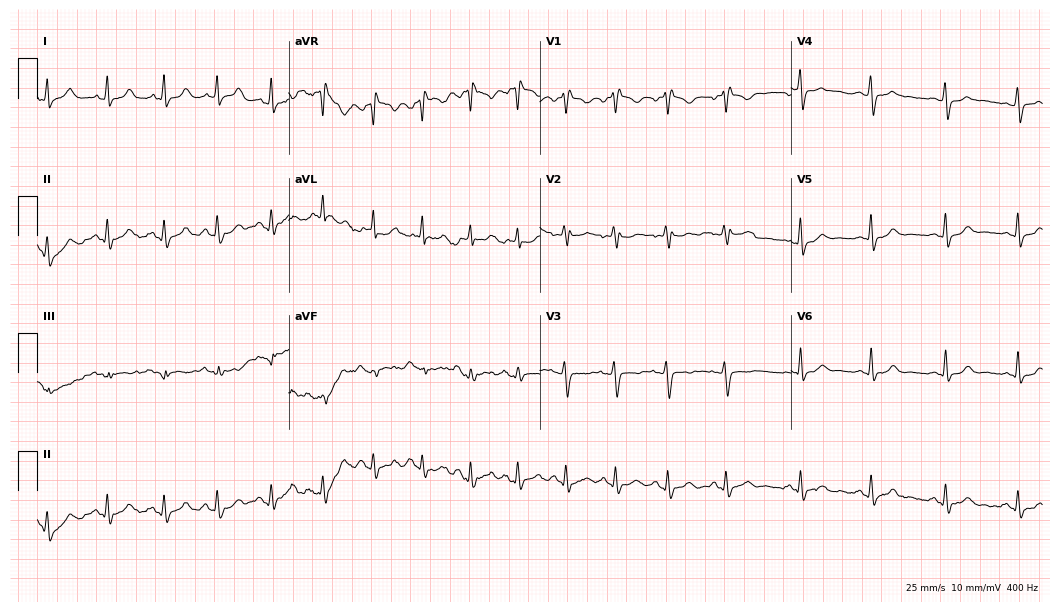
Electrocardiogram, a 28-year-old female patient. Of the six screened findings (first-degree AV block, right bundle branch block, left bundle branch block, sinus bradycardia, atrial fibrillation, sinus tachycardia), none is recorded. Findings outside these six are not listed.